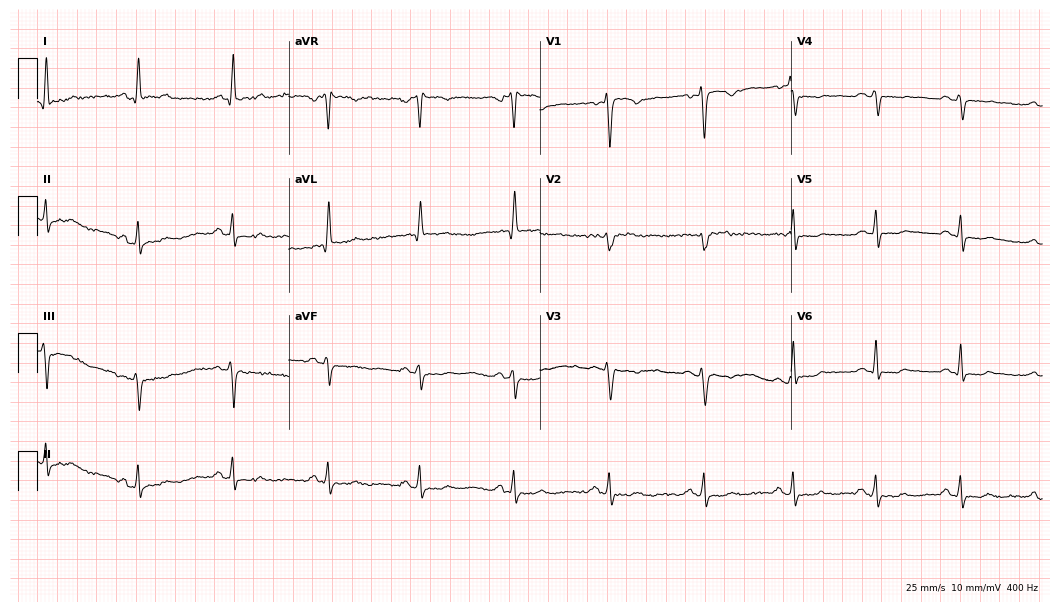
Electrocardiogram (10.2-second recording at 400 Hz), a female, 53 years old. Of the six screened findings (first-degree AV block, right bundle branch block, left bundle branch block, sinus bradycardia, atrial fibrillation, sinus tachycardia), none is recorded.